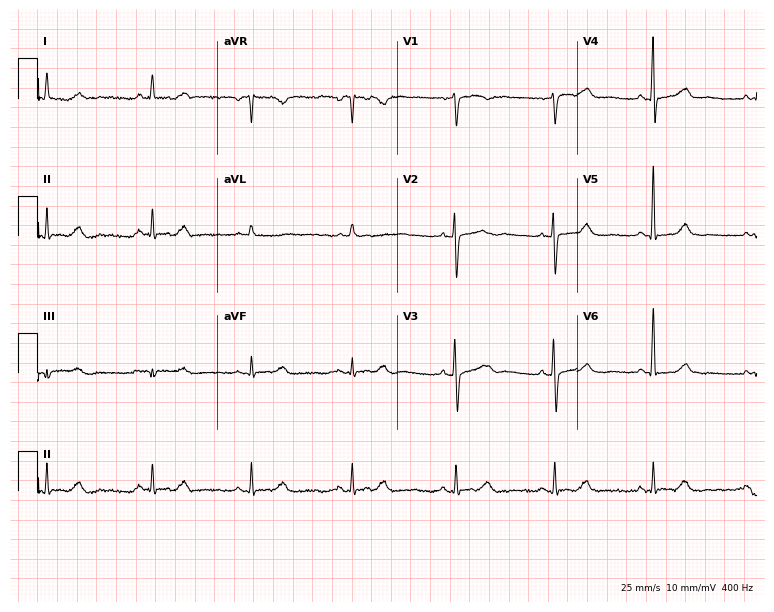
12-lead ECG from a 60-year-old woman. No first-degree AV block, right bundle branch block, left bundle branch block, sinus bradycardia, atrial fibrillation or sinus tachycardia recorded for this tracing. Findings outside these six are not listed.